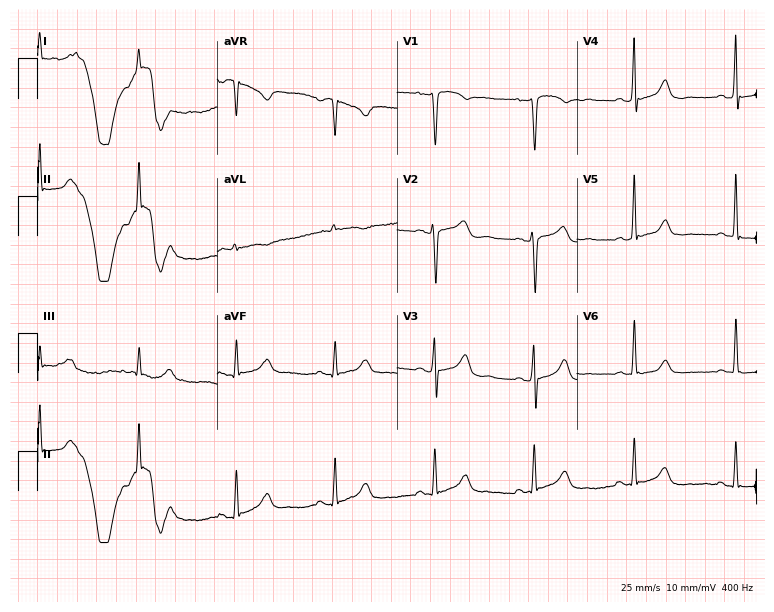
Resting 12-lead electrocardiogram (7.3-second recording at 400 Hz). Patient: a 65-year-old woman. None of these six findings is recorded: first-degree AV block, right bundle branch block, left bundle branch block, sinus bradycardia, atrial fibrillation, sinus tachycardia. Findings outside these six are not listed.